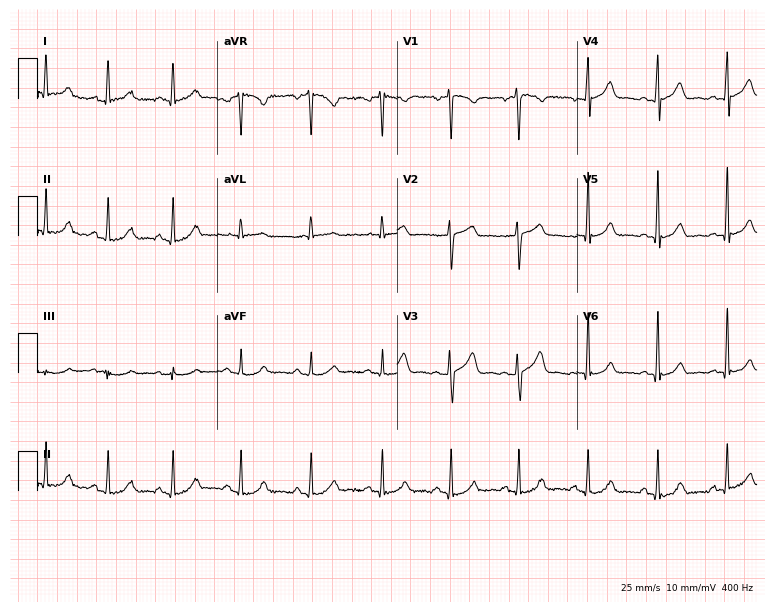
Resting 12-lead electrocardiogram (7.3-second recording at 400 Hz). Patient: a 39-year-old male. Read as a normal ECG.